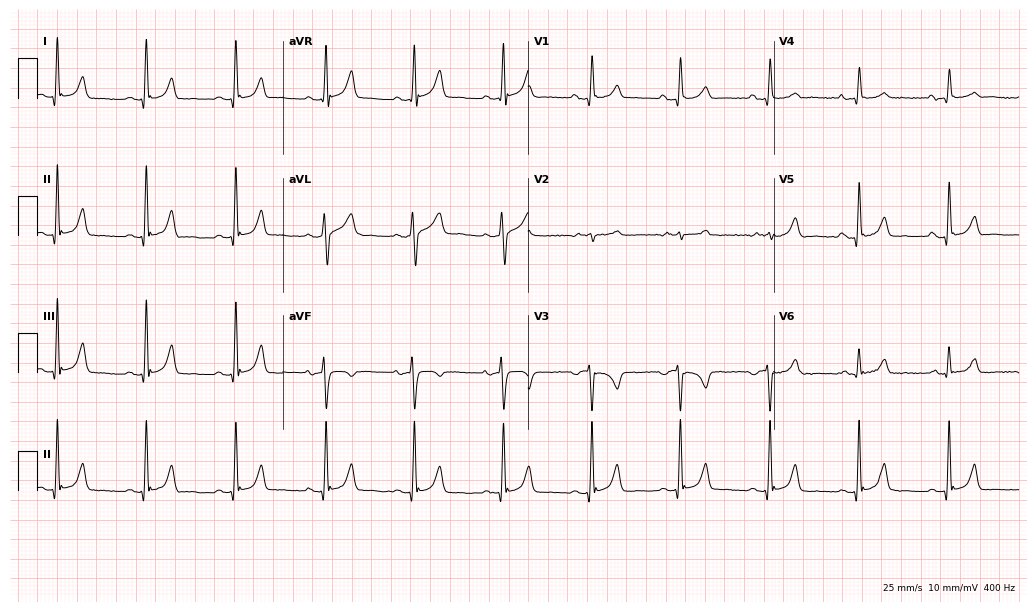
Standard 12-lead ECG recorded from a 61-year-old male patient. None of these six findings is recorded: first-degree AV block, right bundle branch block (RBBB), left bundle branch block (LBBB), sinus bradycardia, atrial fibrillation (AF), sinus tachycardia.